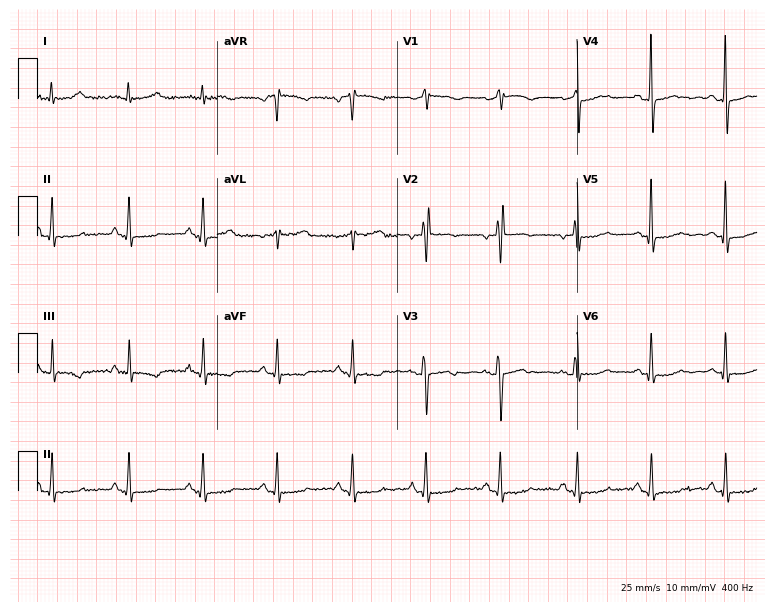
ECG (7.3-second recording at 400 Hz) — a female patient, 55 years old. Screened for six findings — first-degree AV block, right bundle branch block, left bundle branch block, sinus bradycardia, atrial fibrillation, sinus tachycardia — none is recorded.